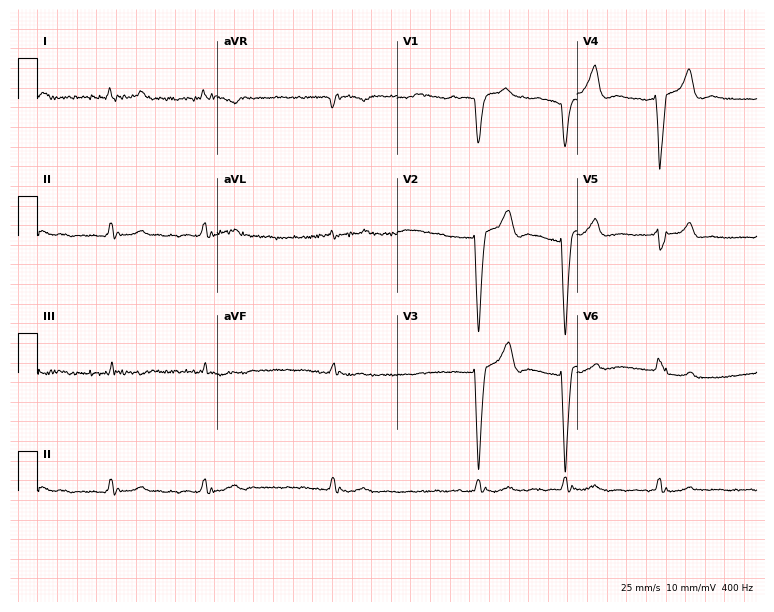
Standard 12-lead ECG recorded from a female patient, 72 years old (7.3-second recording at 400 Hz). The tracing shows left bundle branch block, atrial fibrillation.